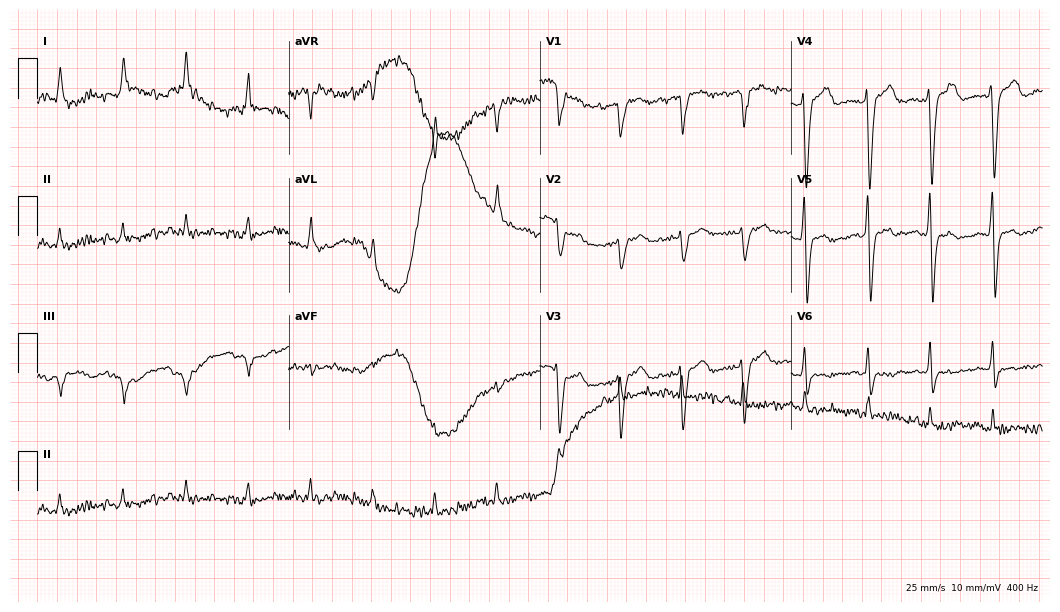
Resting 12-lead electrocardiogram (10.2-second recording at 400 Hz). Patient: a 70-year-old female. The tracing shows left bundle branch block.